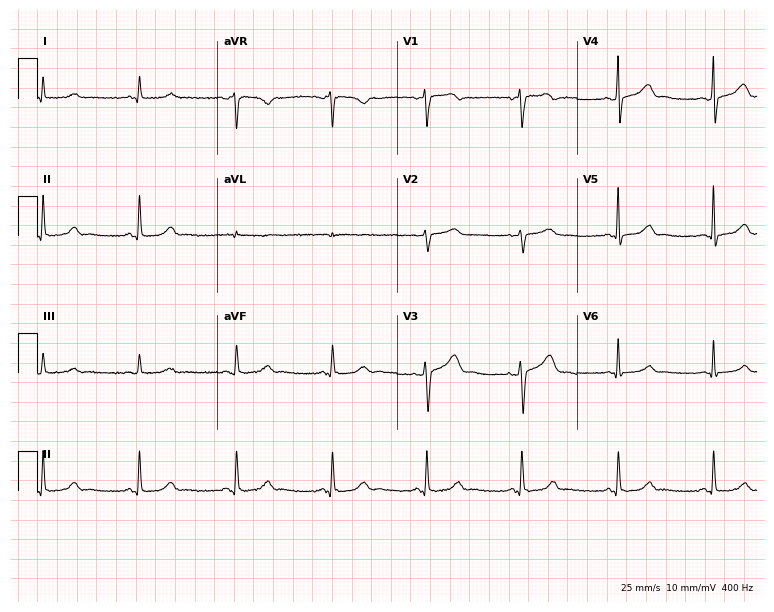
Resting 12-lead electrocardiogram (7.3-second recording at 400 Hz). Patient: a 56-year-old man. None of these six findings is recorded: first-degree AV block, right bundle branch block (RBBB), left bundle branch block (LBBB), sinus bradycardia, atrial fibrillation (AF), sinus tachycardia. Only these six findings were labelled.